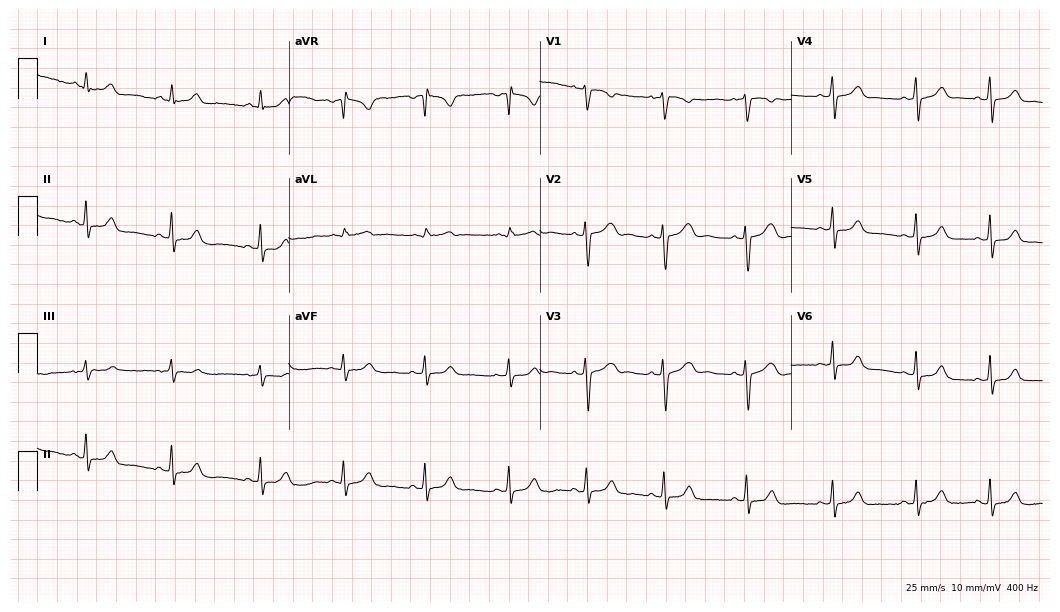
Standard 12-lead ECG recorded from a woman, 22 years old. Read as a normal ECG.